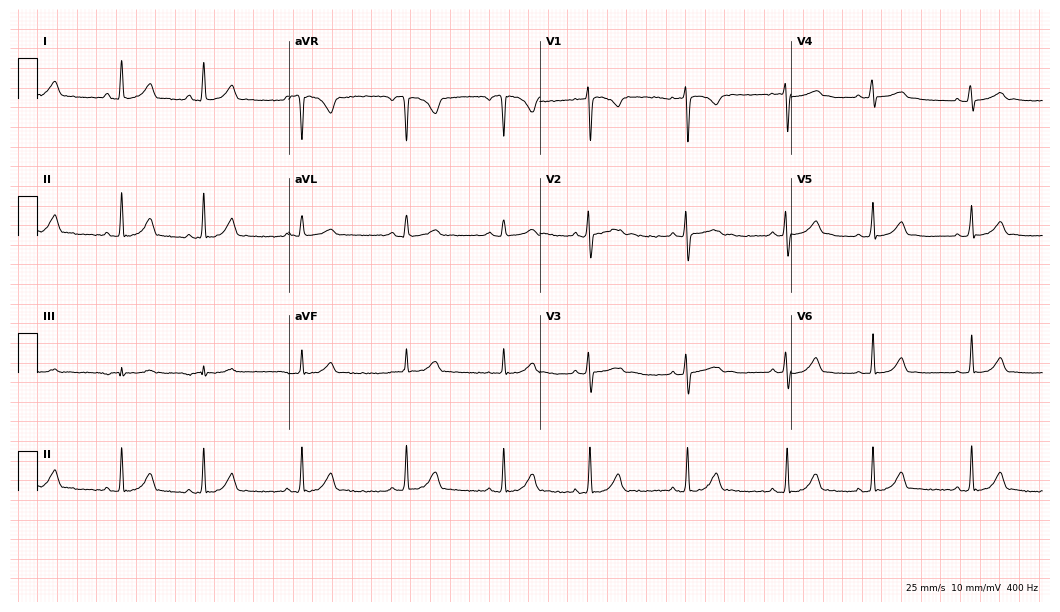
ECG (10.2-second recording at 400 Hz) — a woman, 22 years old. Labelled as a normal ECG.